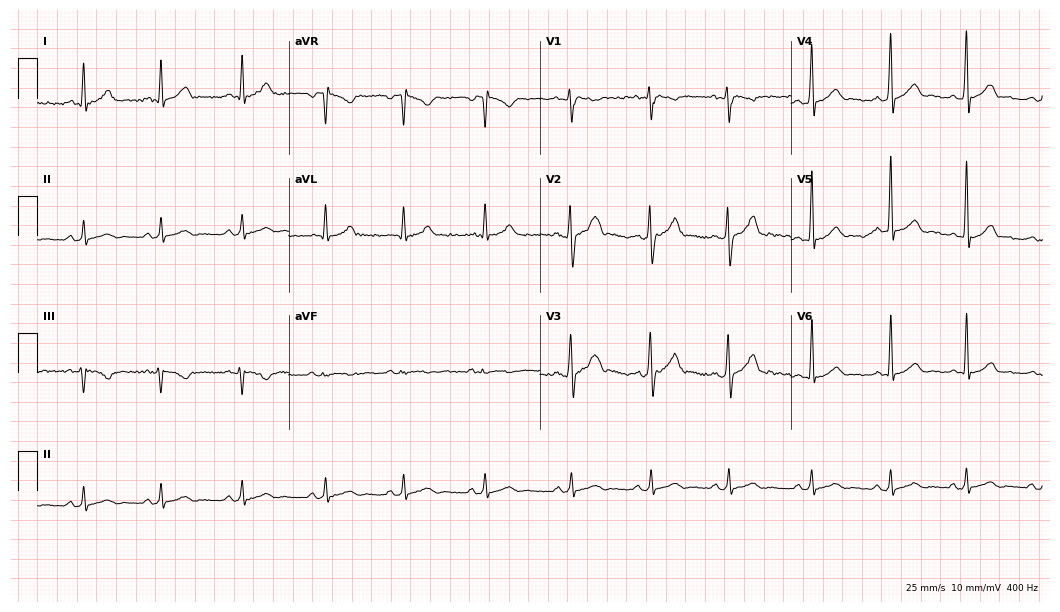
ECG — a 25-year-old male. Screened for six findings — first-degree AV block, right bundle branch block (RBBB), left bundle branch block (LBBB), sinus bradycardia, atrial fibrillation (AF), sinus tachycardia — none is recorded. Findings outside these six are not listed.